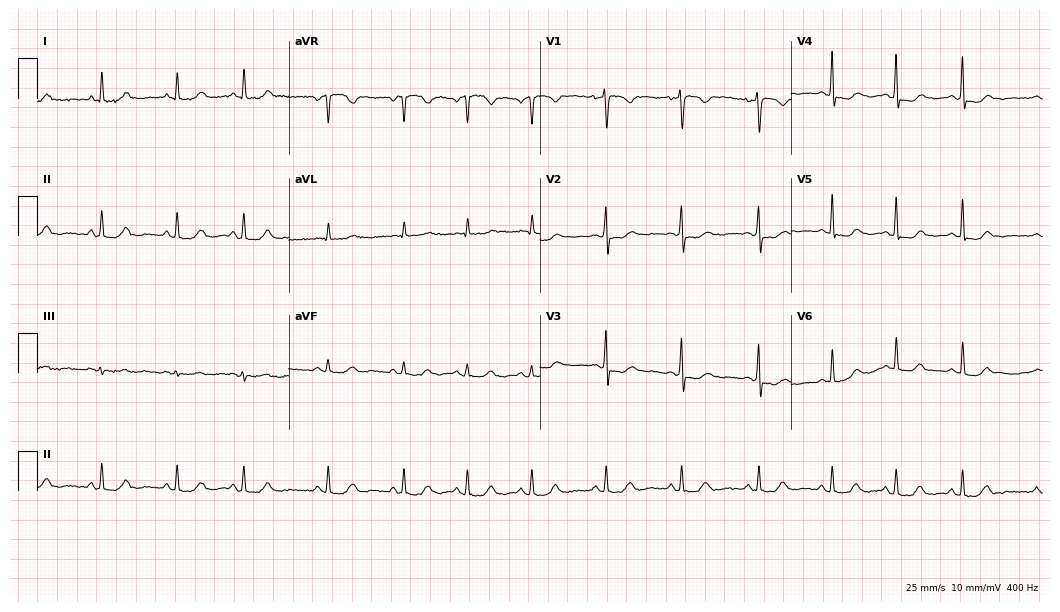
Standard 12-lead ECG recorded from a female, 36 years old (10.2-second recording at 400 Hz). Read as a normal ECG.